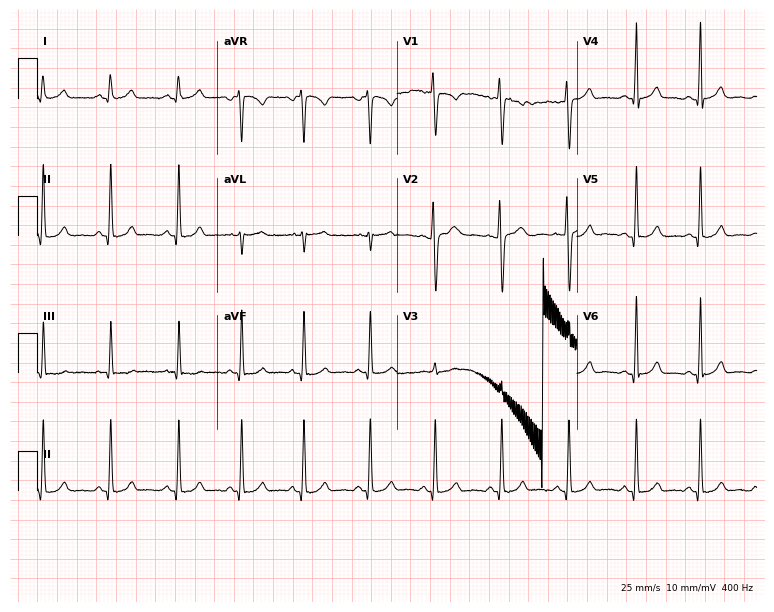
12-lead ECG from a woman, 19 years old. Recorded interpretation: within normal limits.